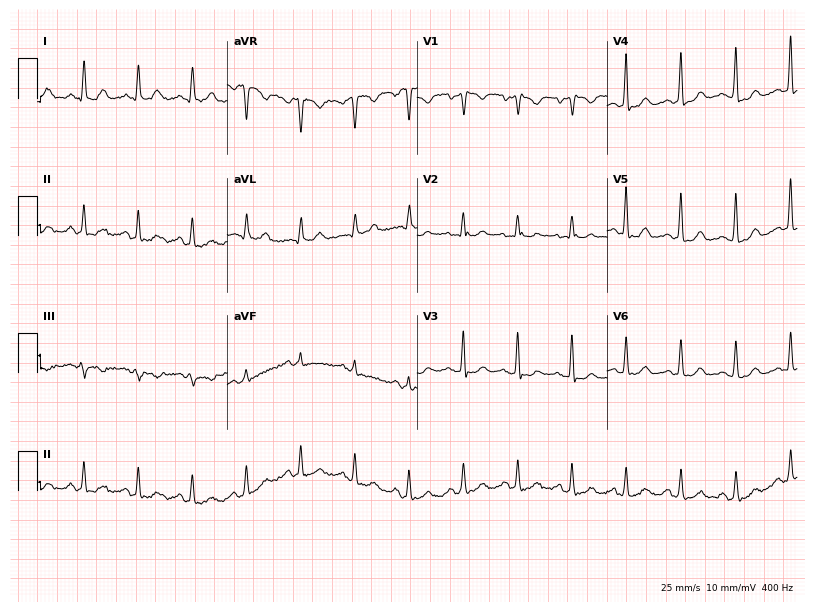
12-lead ECG (7.7-second recording at 400 Hz) from a female, 49 years old. Findings include sinus tachycardia (a sinus rate of 100 beats per minute or more).